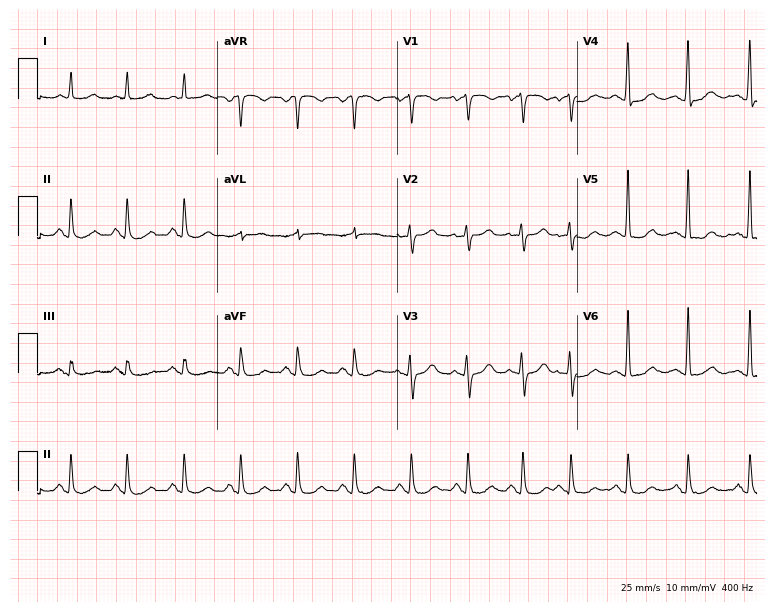
12-lead ECG from a 61-year-old woman. Shows sinus tachycardia (a sinus rate of 100 beats per minute or more).